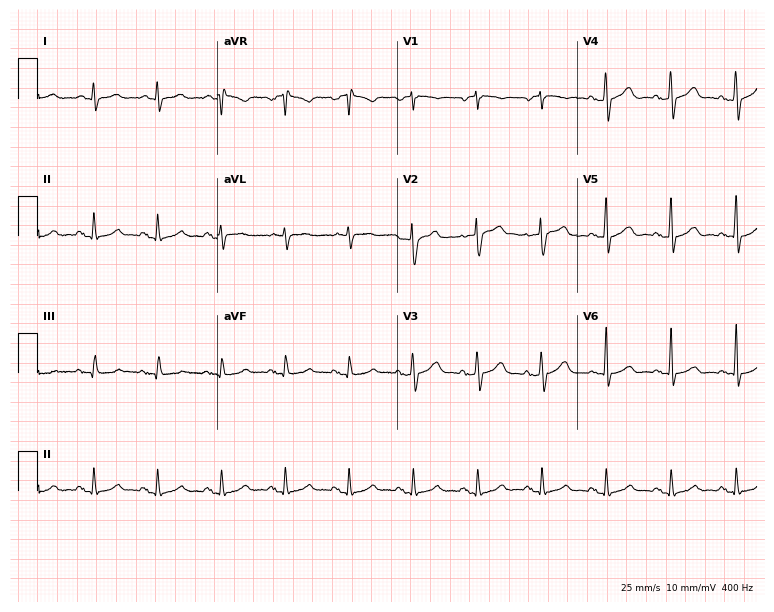
12-lead ECG from a man, 76 years old. Labelled as a normal ECG.